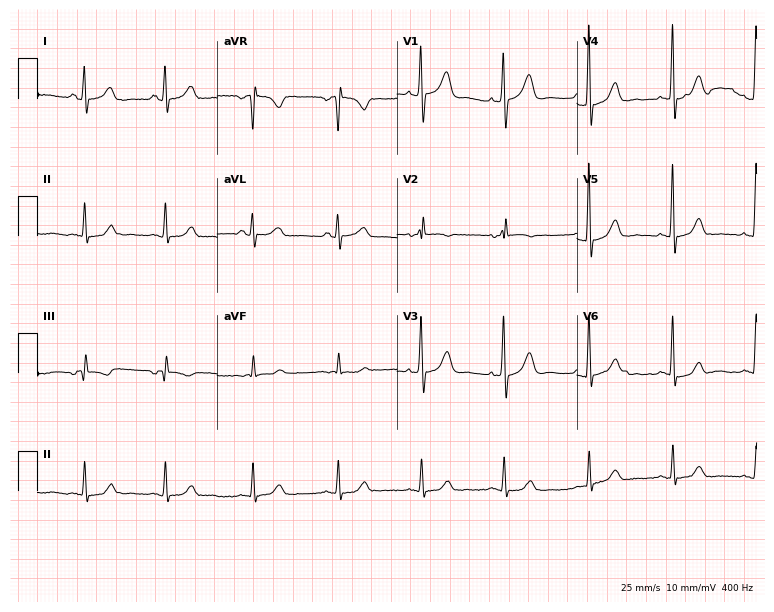
Resting 12-lead electrocardiogram. Patient: a woman, 67 years old. None of these six findings is recorded: first-degree AV block, right bundle branch block, left bundle branch block, sinus bradycardia, atrial fibrillation, sinus tachycardia.